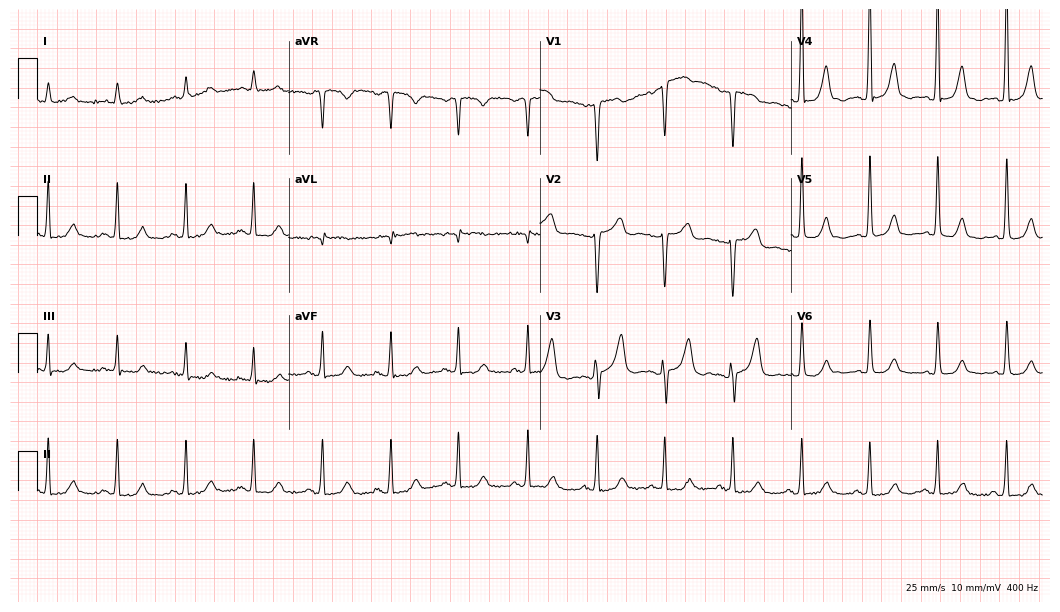
12-lead ECG (10.2-second recording at 400 Hz) from a female patient, 67 years old. Labelled as a normal ECG.